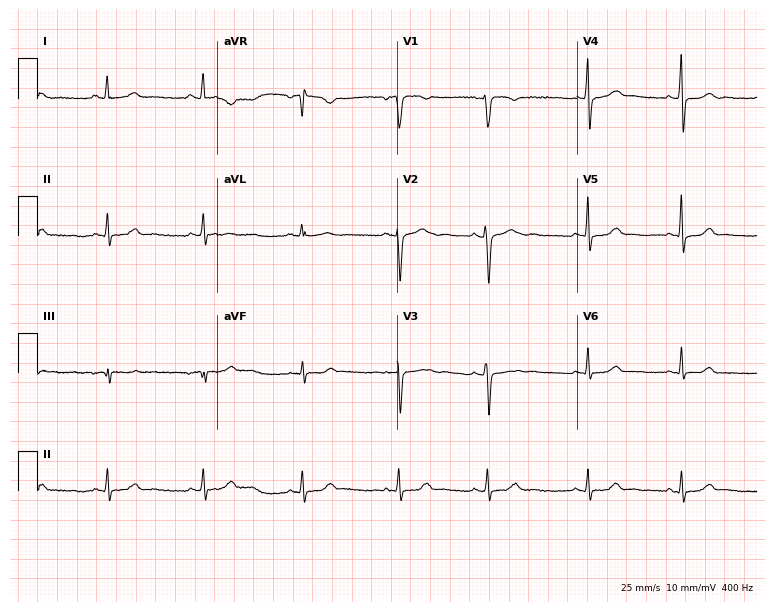
Resting 12-lead electrocardiogram (7.3-second recording at 400 Hz). Patient: a woman, 29 years old. None of these six findings is recorded: first-degree AV block, right bundle branch block, left bundle branch block, sinus bradycardia, atrial fibrillation, sinus tachycardia.